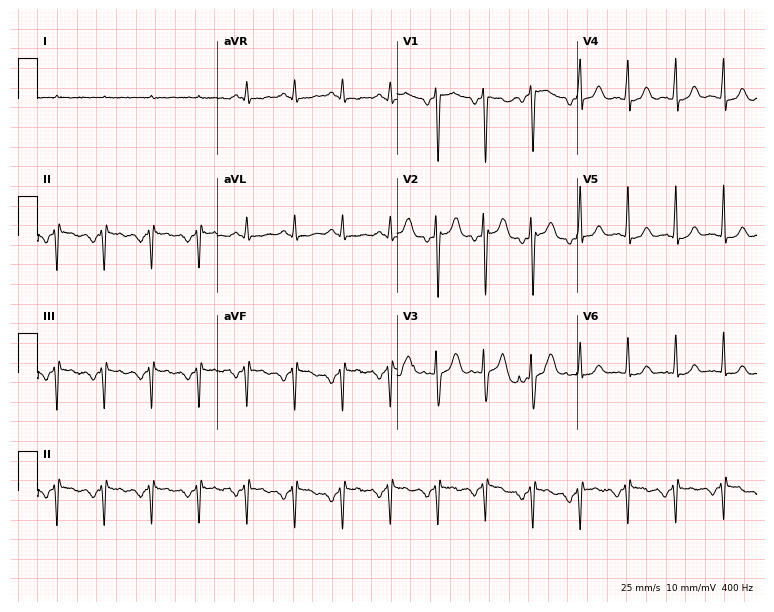
ECG (7.3-second recording at 400 Hz) — a 31-year-old woman. Screened for six findings — first-degree AV block, right bundle branch block (RBBB), left bundle branch block (LBBB), sinus bradycardia, atrial fibrillation (AF), sinus tachycardia — none is recorded. Other findings, if any, are not listed.